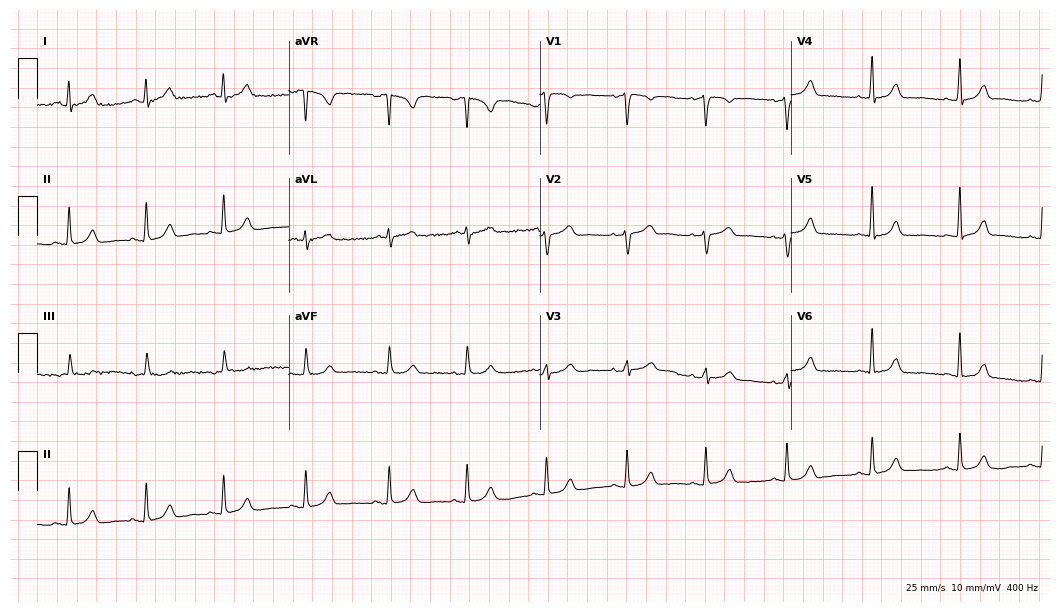
12-lead ECG from a female, 47 years old (10.2-second recording at 400 Hz). Recorded interpretation: within normal limits.